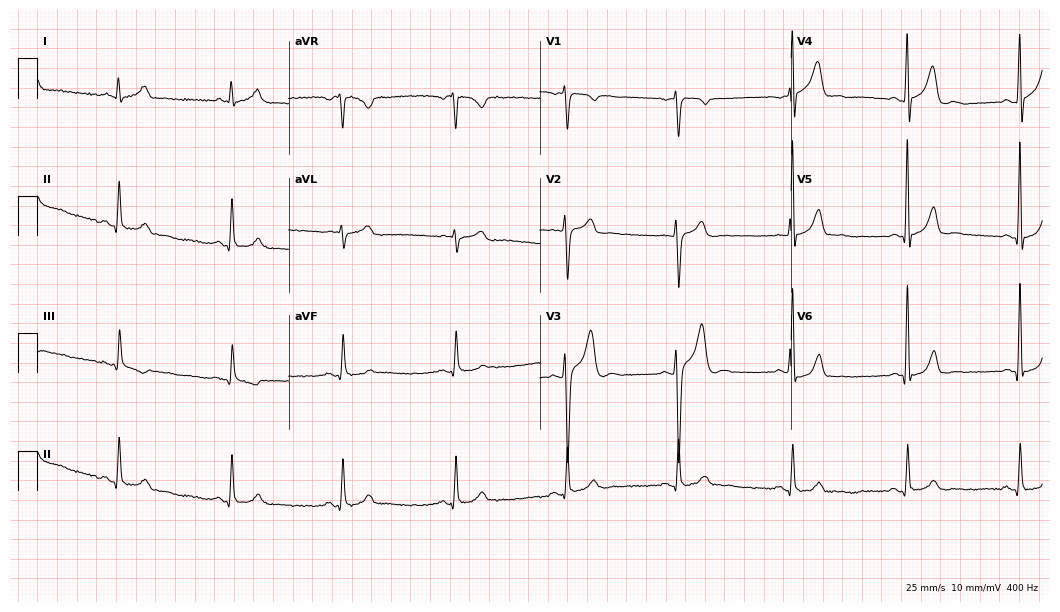
12-lead ECG from a male patient, 43 years old (10.2-second recording at 400 Hz). Recorded interpretation: within normal limits.